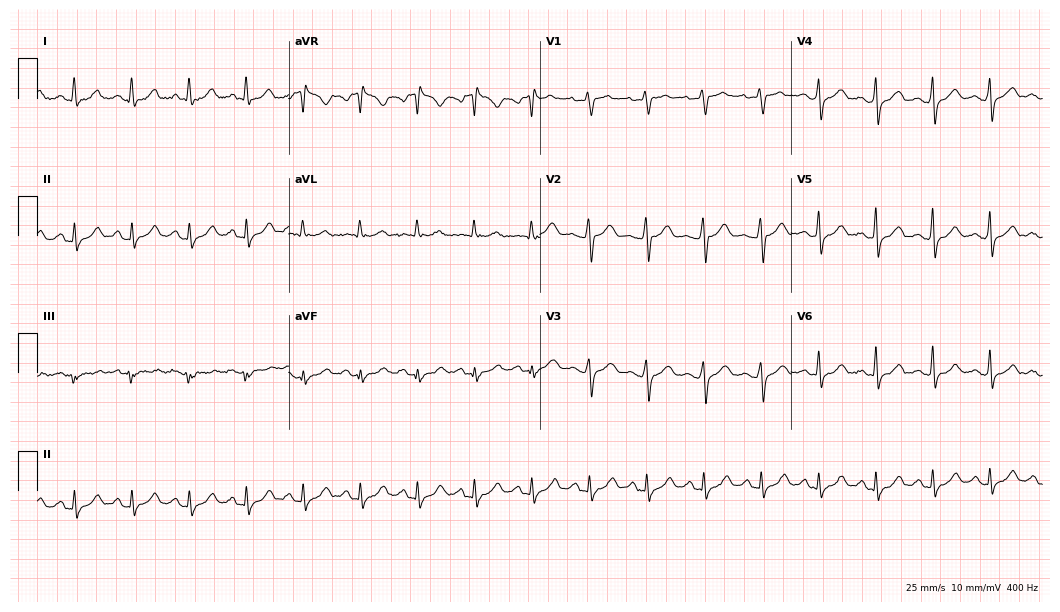
Resting 12-lead electrocardiogram (10.2-second recording at 400 Hz). Patient: a female, 37 years old. The tracing shows sinus tachycardia (a sinus rate of 100 beats per minute or more).